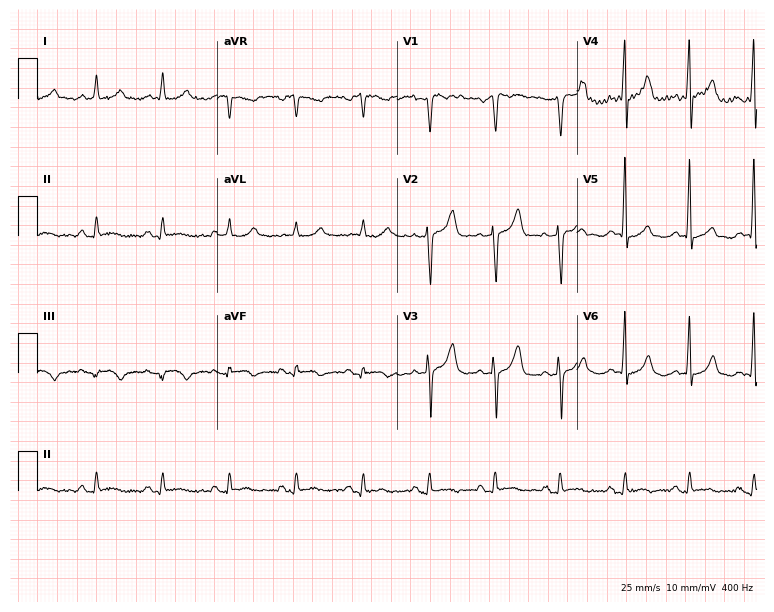
ECG — a 69-year-old male patient. Screened for six findings — first-degree AV block, right bundle branch block (RBBB), left bundle branch block (LBBB), sinus bradycardia, atrial fibrillation (AF), sinus tachycardia — none is recorded. Findings outside these six are not listed.